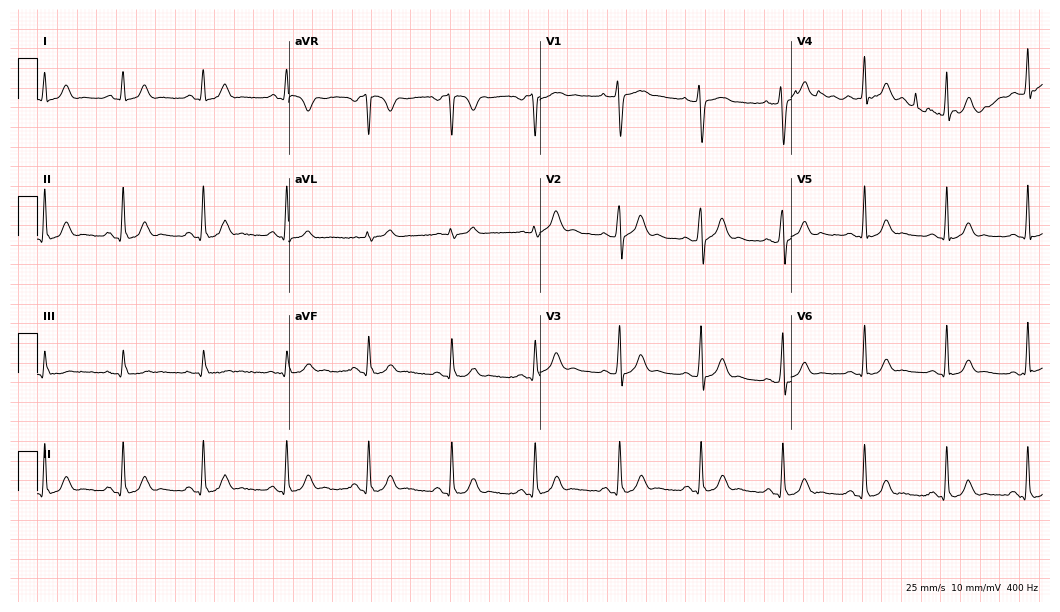
ECG (10.2-second recording at 400 Hz) — a 24-year-old man. Screened for six findings — first-degree AV block, right bundle branch block (RBBB), left bundle branch block (LBBB), sinus bradycardia, atrial fibrillation (AF), sinus tachycardia — none is recorded. Only these six findings were labelled.